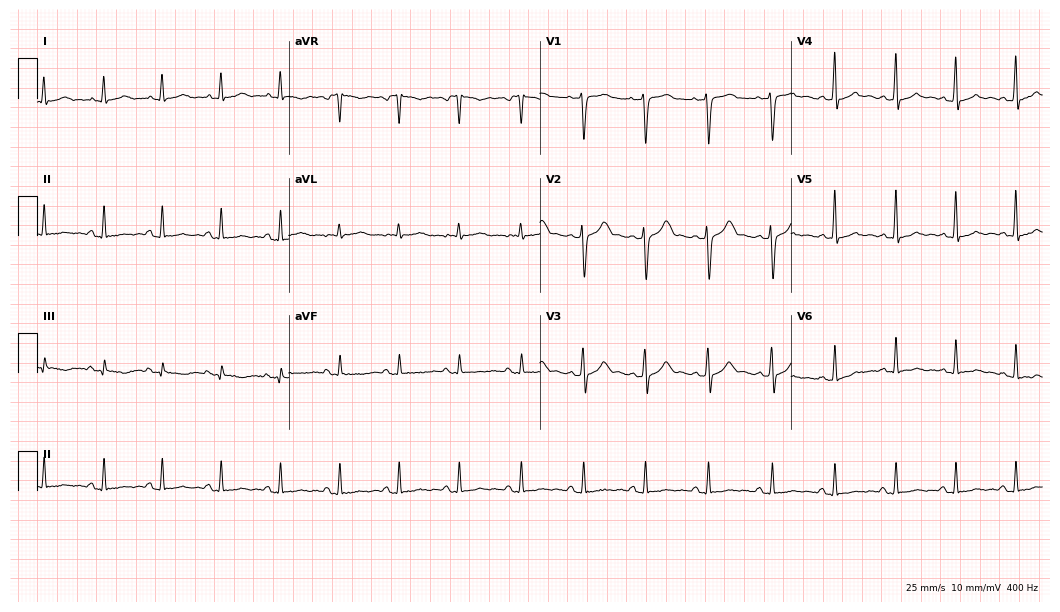
Electrocardiogram (10.2-second recording at 400 Hz), a woman, 47 years old. Overall reading on record: normal ECG.